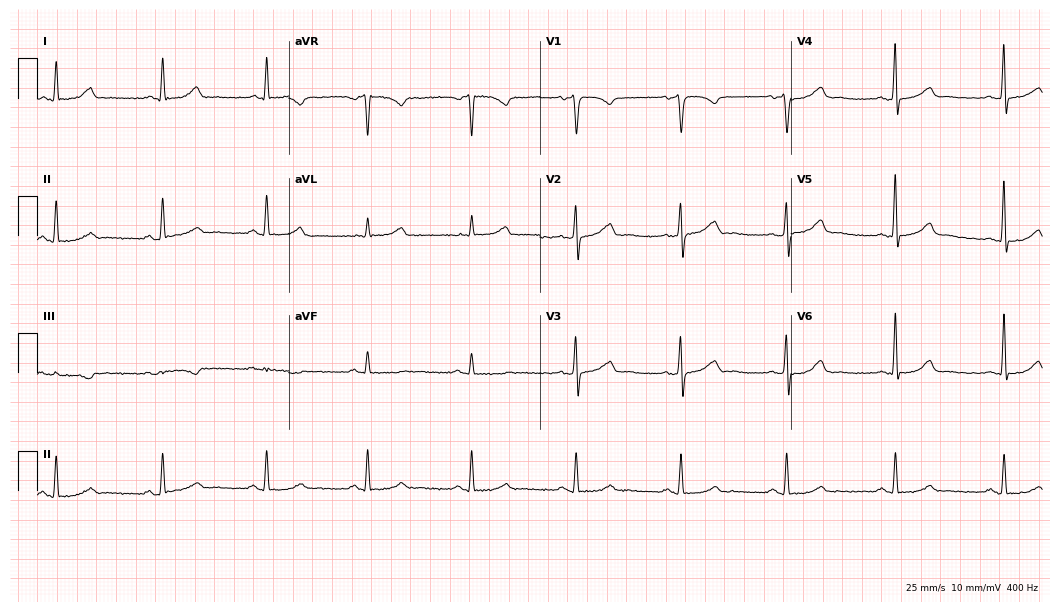
12-lead ECG (10.2-second recording at 400 Hz) from a 45-year-old female. Labelled as a normal ECG.